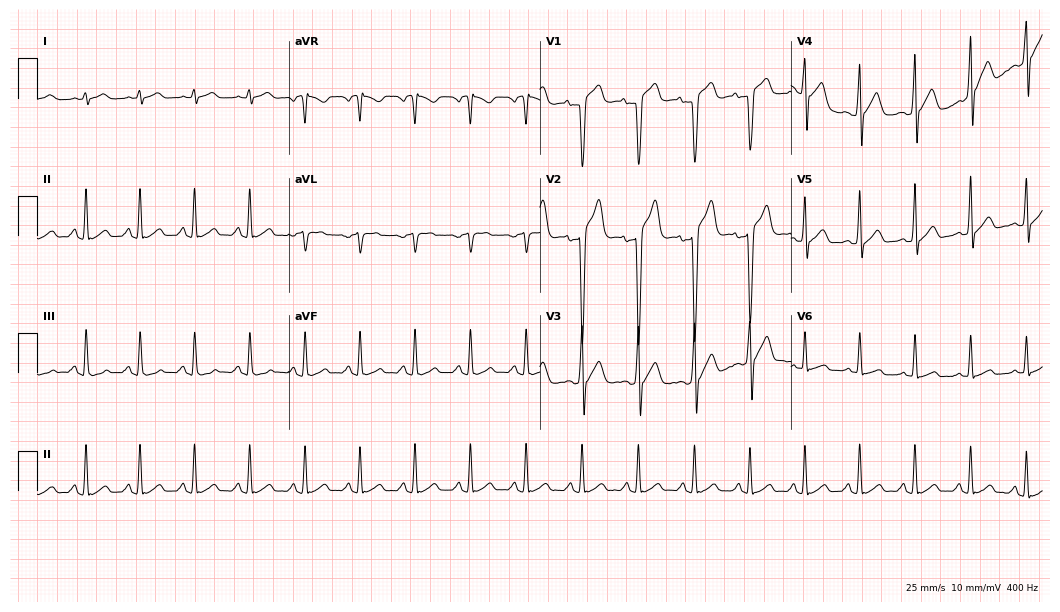
Electrocardiogram, a 21-year-old man. Interpretation includes sinus tachycardia (a sinus rate of 100 beats per minute or more).